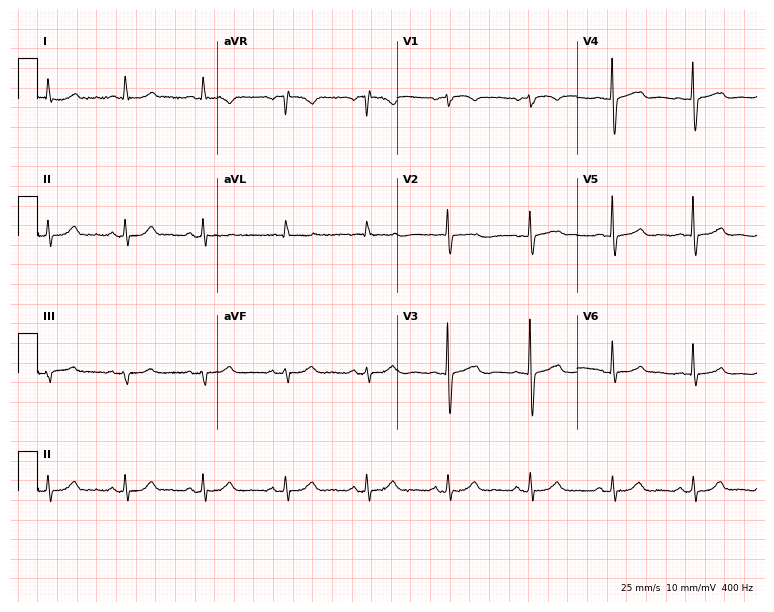
Standard 12-lead ECG recorded from a 74-year-old female patient (7.3-second recording at 400 Hz). None of these six findings is recorded: first-degree AV block, right bundle branch block, left bundle branch block, sinus bradycardia, atrial fibrillation, sinus tachycardia. Findings outside these six are not listed.